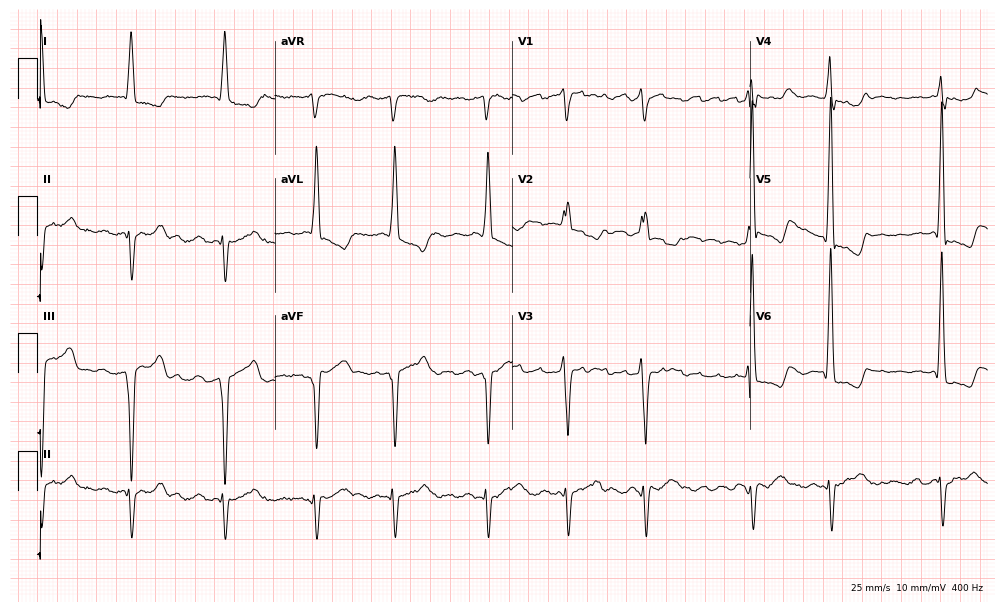
Standard 12-lead ECG recorded from a 69-year-old female. None of these six findings is recorded: first-degree AV block, right bundle branch block, left bundle branch block, sinus bradycardia, atrial fibrillation, sinus tachycardia. Findings outside these six are not listed.